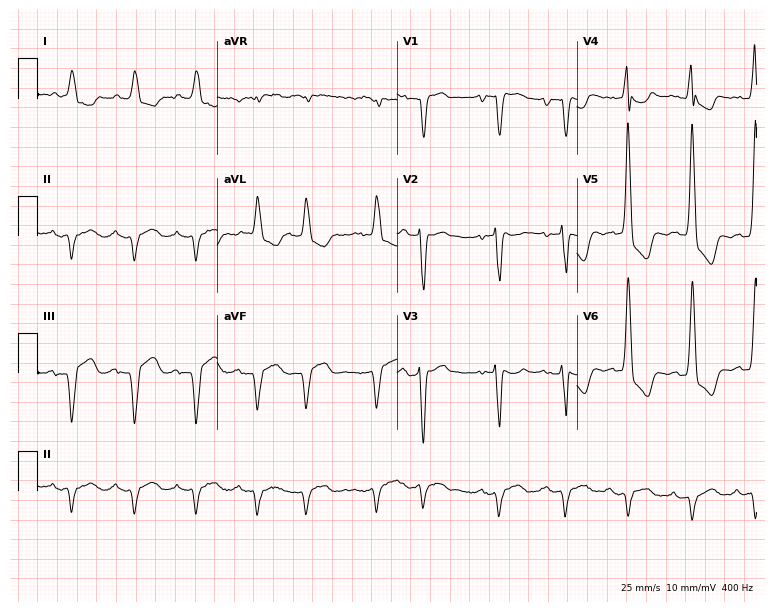
12-lead ECG from a man, 77 years old. Shows left bundle branch block (LBBB).